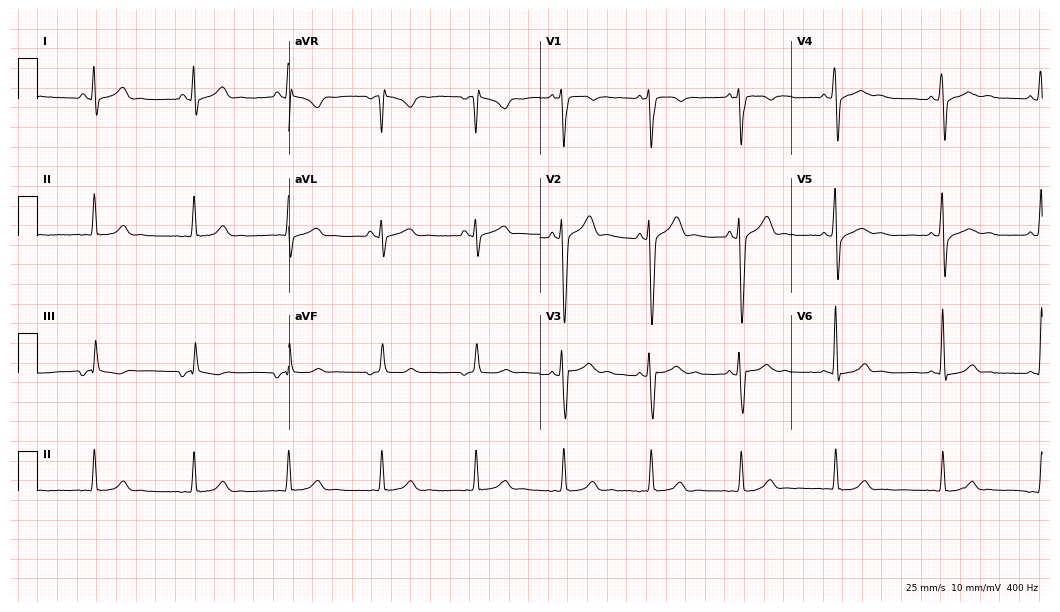
ECG (10.2-second recording at 400 Hz) — a 27-year-old male patient. Screened for six findings — first-degree AV block, right bundle branch block (RBBB), left bundle branch block (LBBB), sinus bradycardia, atrial fibrillation (AF), sinus tachycardia — none is recorded.